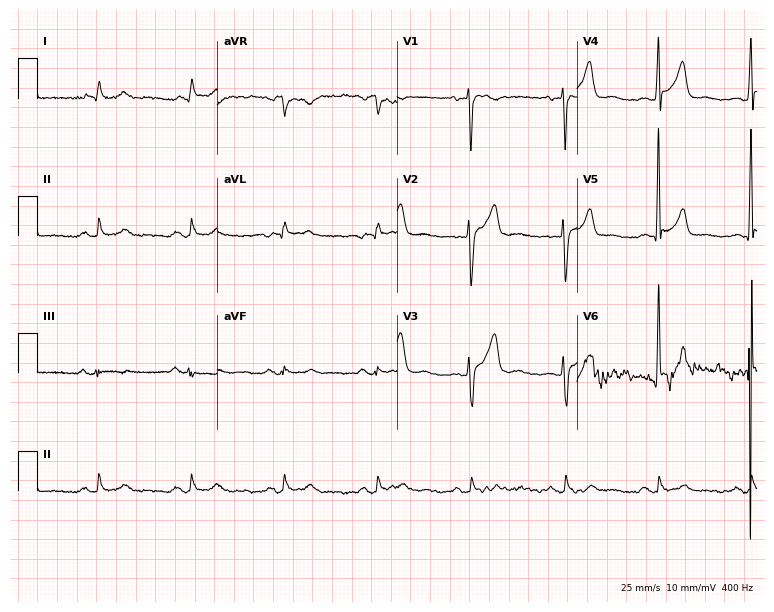
Resting 12-lead electrocardiogram (7.3-second recording at 400 Hz). Patient: a male, 57 years old. None of these six findings is recorded: first-degree AV block, right bundle branch block (RBBB), left bundle branch block (LBBB), sinus bradycardia, atrial fibrillation (AF), sinus tachycardia.